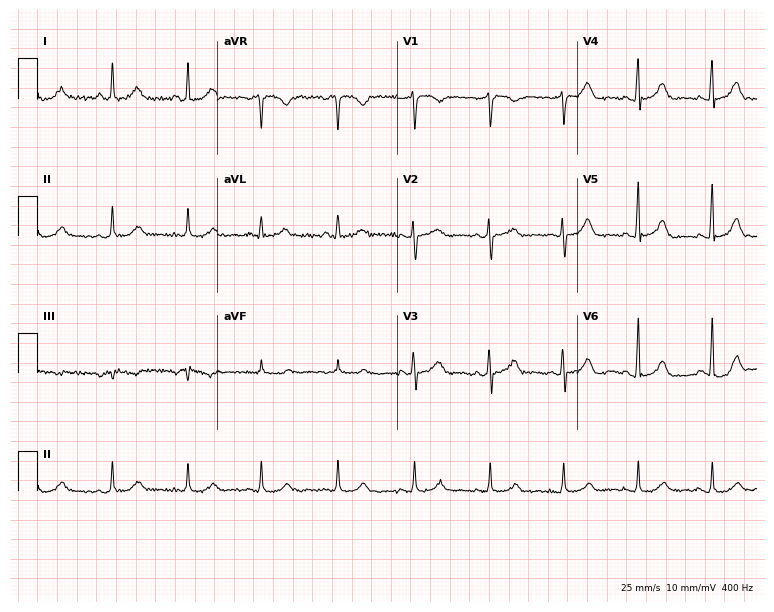
12-lead ECG (7.3-second recording at 400 Hz) from a female patient, 54 years old. Screened for six findings — first-degree AV block, right bundle branch block (RBBB), left bundle branch block (LBBB), sinus bradycardia, atrial fibrillation (AF), sinus tachycardia — none is recorded. Other findings, if any, are not listed.